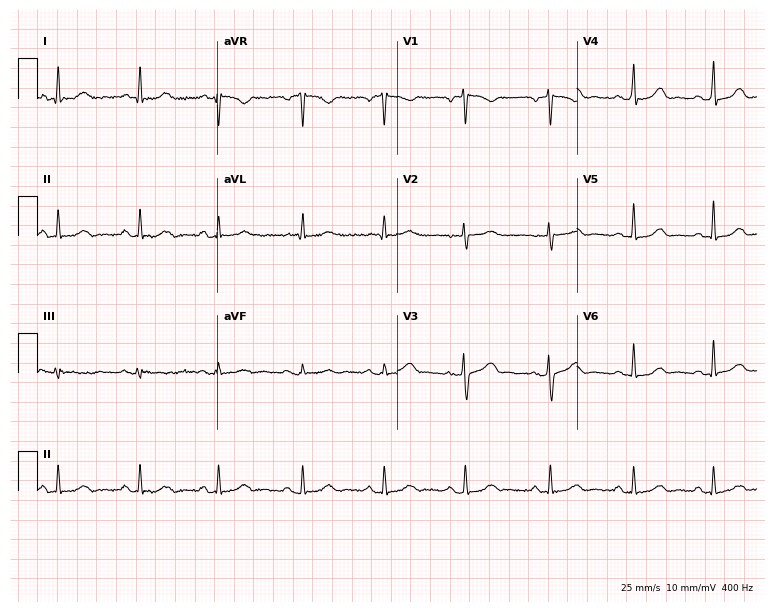
Standard 12-lead ECG recorded from a woman, 48 years old. Read as a normal ECG.